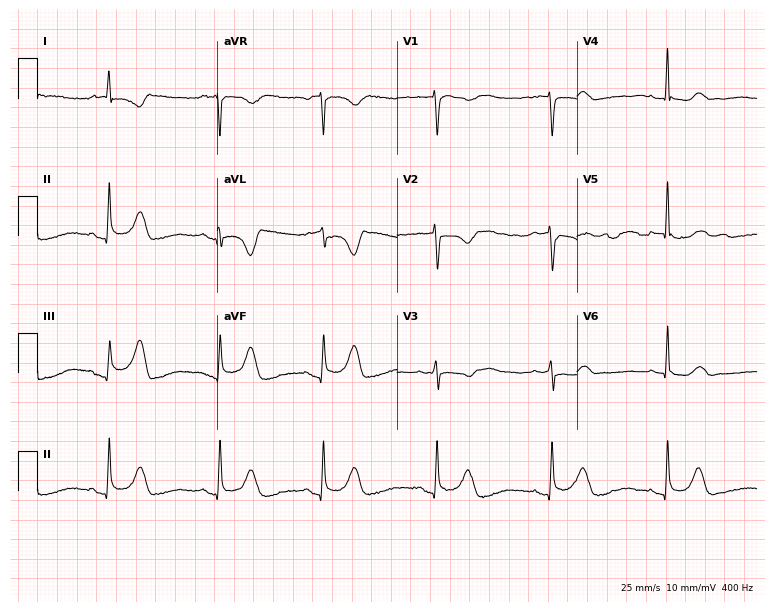
Resting 12-lead electrocardiogram. Patient: a female, 47 years old. None of these six findings is recorded: first-degree AV block, right bundle branch block, left bundle branch block, sinus bradycardia, atrial fibrillation, sinus tachycardia. Other findings, if any, are not listed.